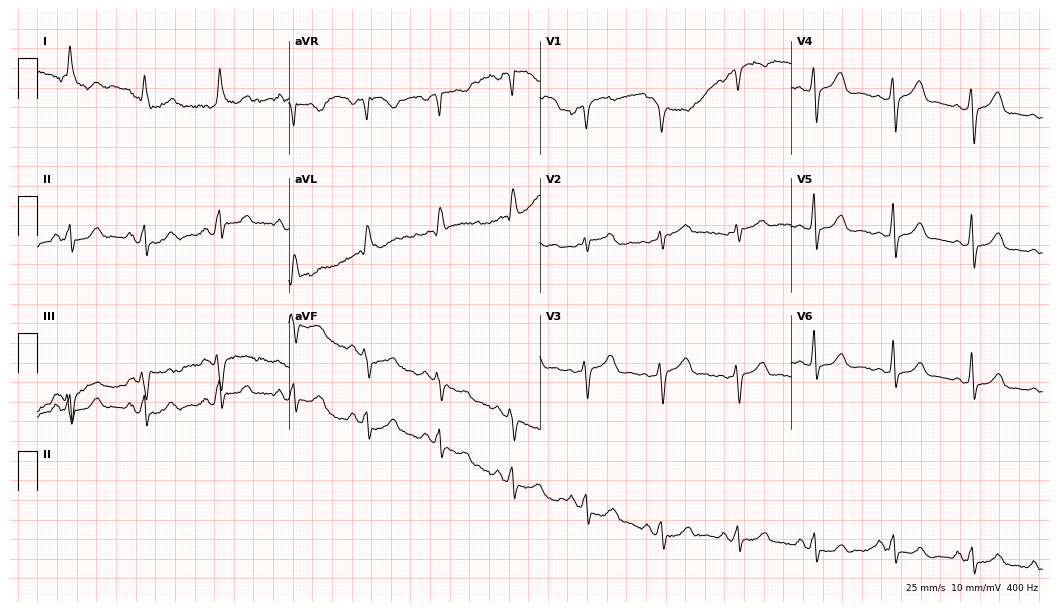
ECG (10.2-second recording at 400 Hz) — a 56-year-old woman. Screened for six findings — first-degree AV block, right bundle branch block (RBBB), left bundle branch block (LBBB), sinus bradycardia, atrial fibrillation (AF), sinus tachycardia — none is recorded. Only these six findings were labelled.